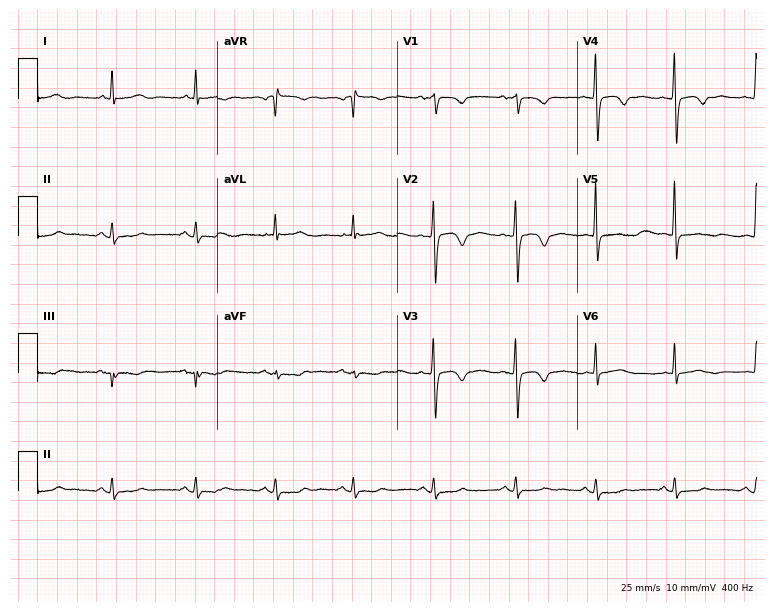
12-lead ECG (7.3-second recording at 400 Hz) from a female, 65 years old. Screened for six findings — first-degree AV block, right bundle branch block, left bundle branch block, sinus bradycardia, atrial fibrillation, sinus tachycardia — none is recorded. Findings outside these six are not listed.